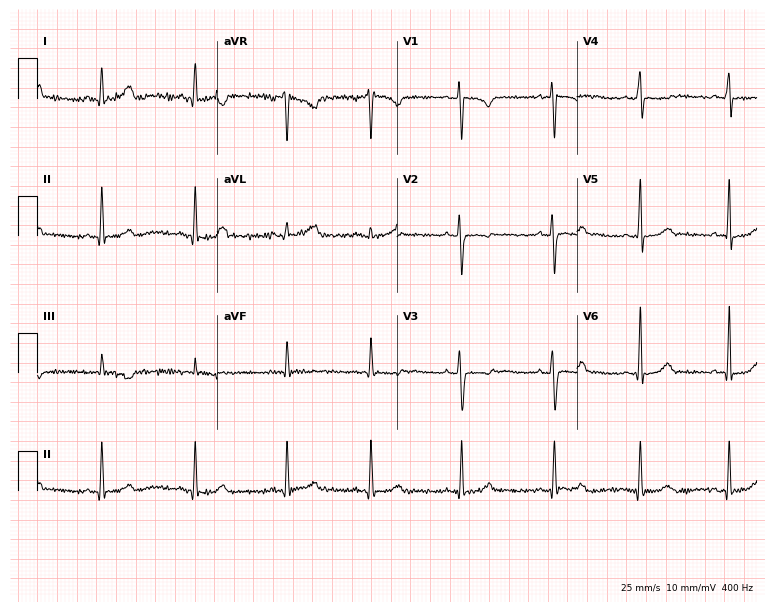
ECG — a 25-year-old female. Labelled as a normal ECG.